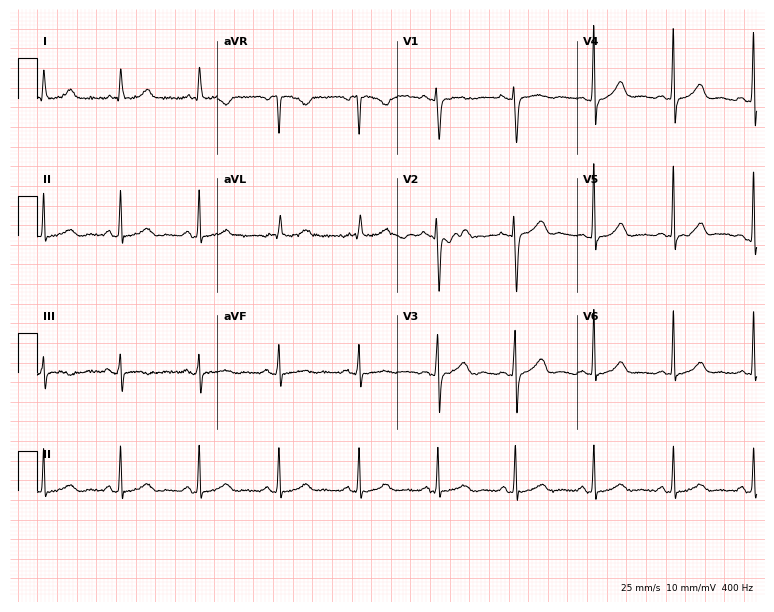
Standard 12-lead ECG recorded from a female patient, 56 years old. None of these six findings is recorded: first-degree AV block, right bundle branch block, left bundle branch block, sinus bradycardia, atrial fibrillation, sinus tachycardia. Only these six findings were labelled.